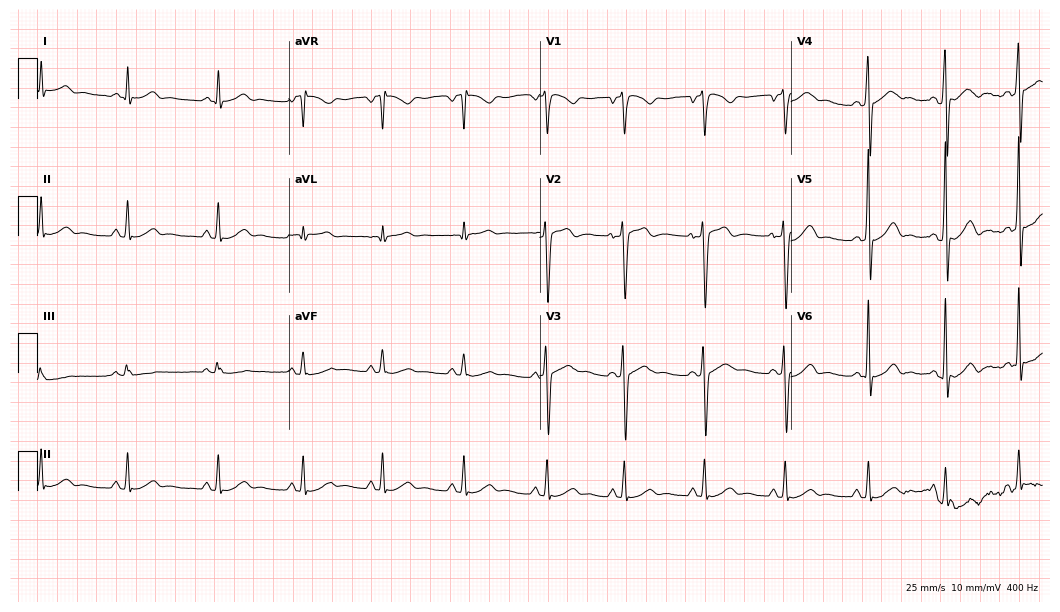
Standard 12-lead ECG recorded from a male, 21 years old. Read as a normal ECG.